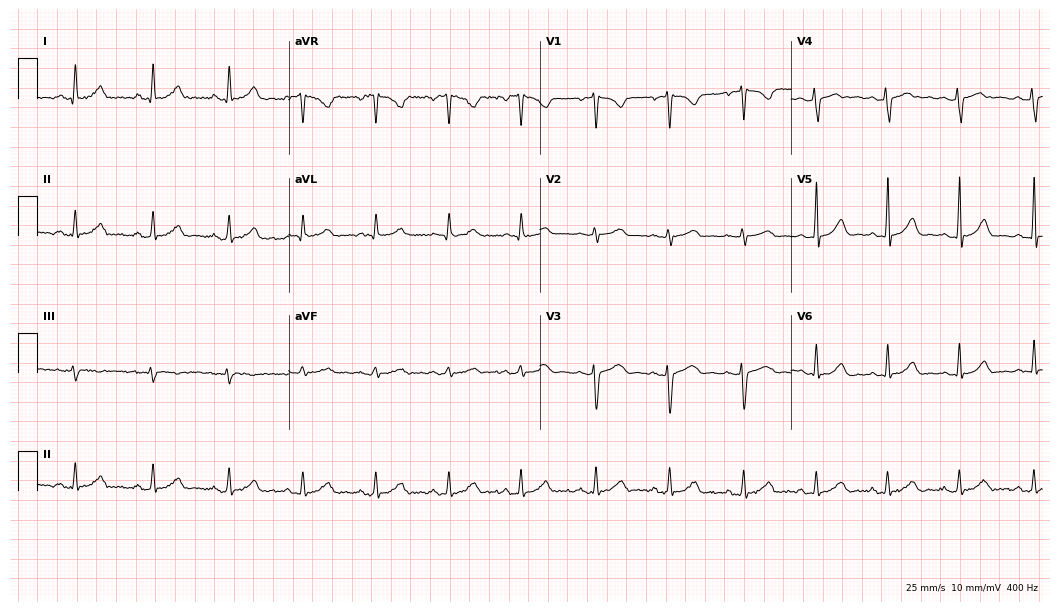
Resting 12-lead electrocardiogram (10.2-second recording at 400 Hz). Patient: a 24-year-old female. Read as a normal ECG.